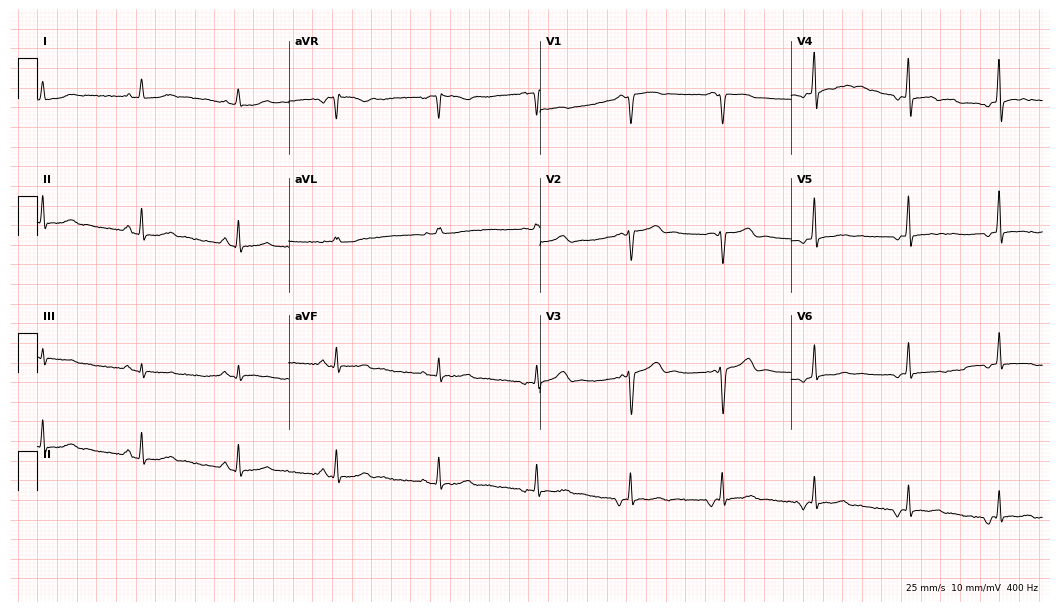
12-lead ECG from a 46-year-old female patient. Labelled as a normal ECG.